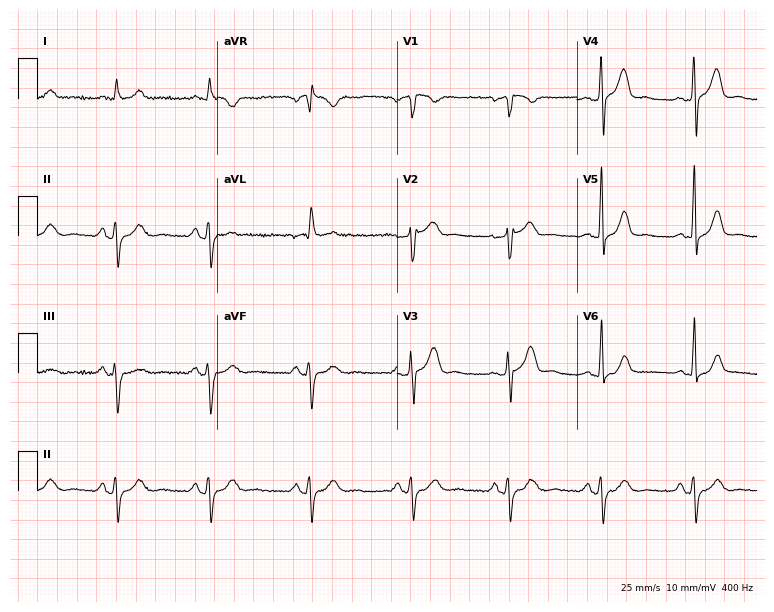
Electrocardiogram (7.3-second recording at 400 Hz), a 42-year-old male patient. Of the six screened findings (first-degree AV block, right bundle branch block (RBBB), left bundle branch block (LBBB), sinus bradycardia, atrial fibrillation (AF), sinus tachycardia), none is recorded.